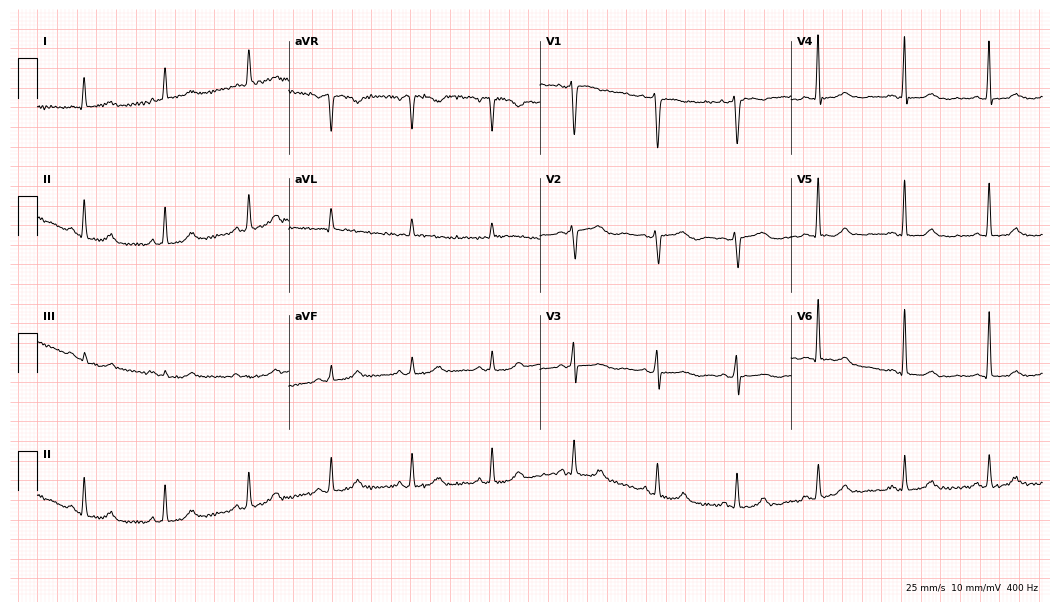
Resting 12-lead electrocardiogram (10.2-second recording at 400 Hz). Patient: a 51-year-old female. None of these six findings is recorded: first-degree AV block, right bundle branch block, left bundle branch block, sinus bradycardia, atrial fibrillation, sinus tachycardia. Findings outside these six are not listed.